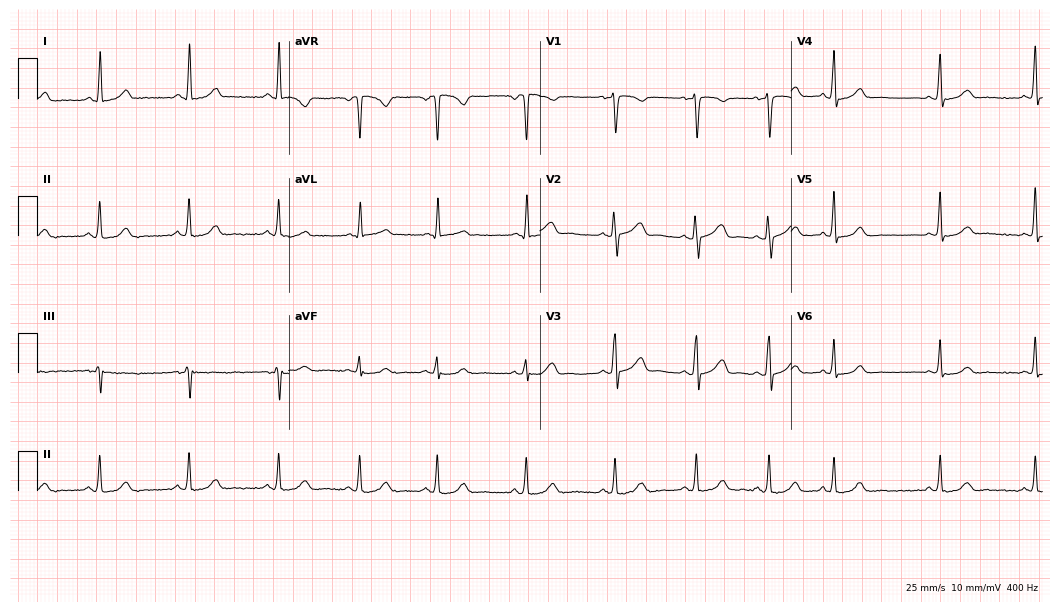
12-lead ECG from a female patient, 38 years old (10.2-second recording at 400 Hz). No first-degree AV block, right bundle branch block, left bundle branch block, sinus bradycardia, atrial fibrillation or sinus tachycardia recorded for this tracing.